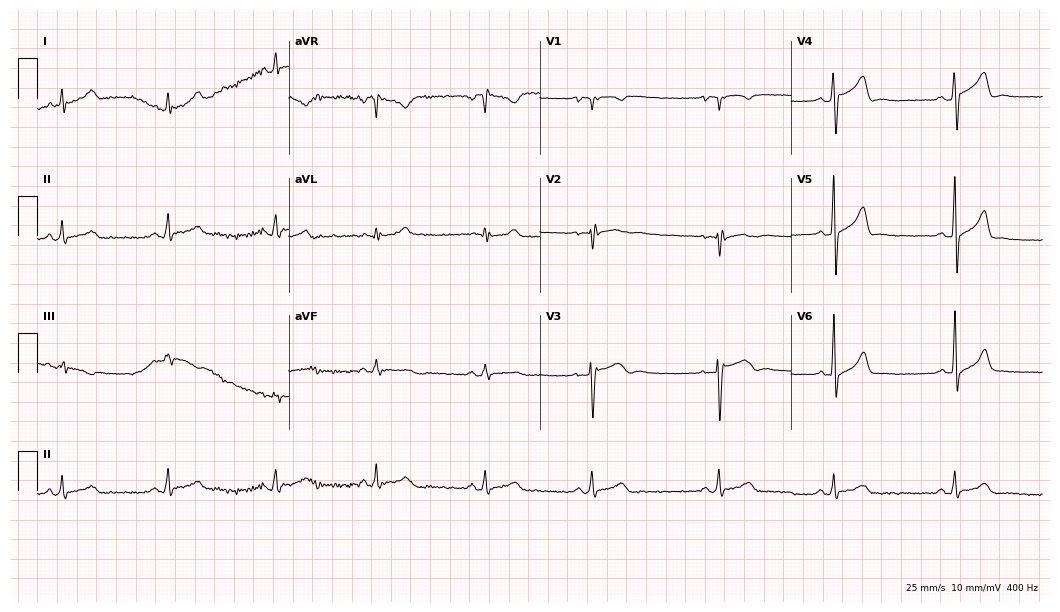
Resting 12-lead electrocardiogram. Patient: a male, 23 years old. None of these six findings is recorded: first-degree AV block, right bundle branch block, left bundle branch block, sinus bradycardia, atrial fibrillation, sinus tachycardia.